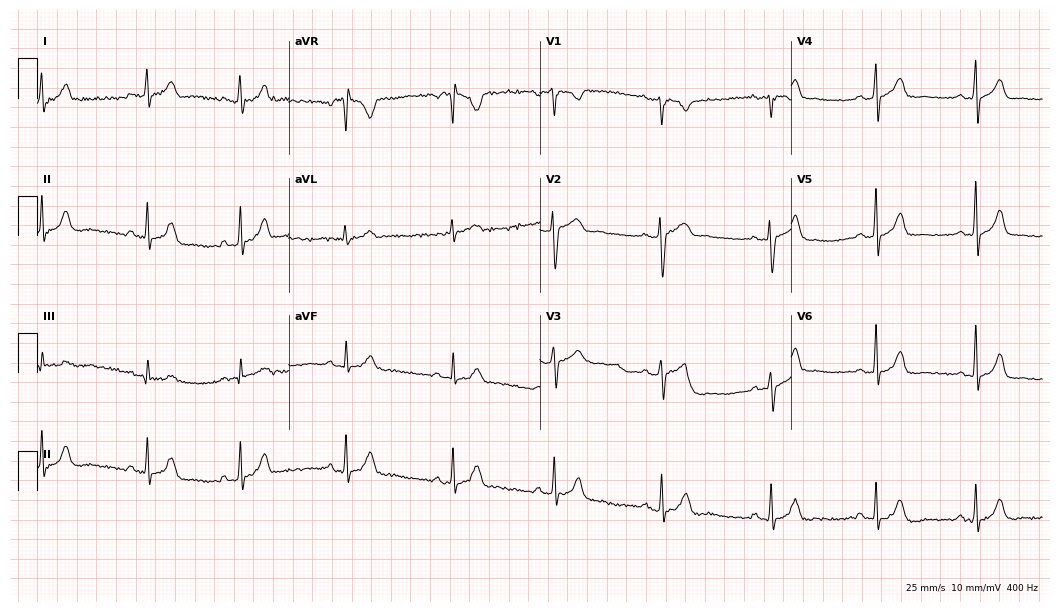
12-lead ECG from a 42-year-old female. Recorded interpretation: within normal limits.